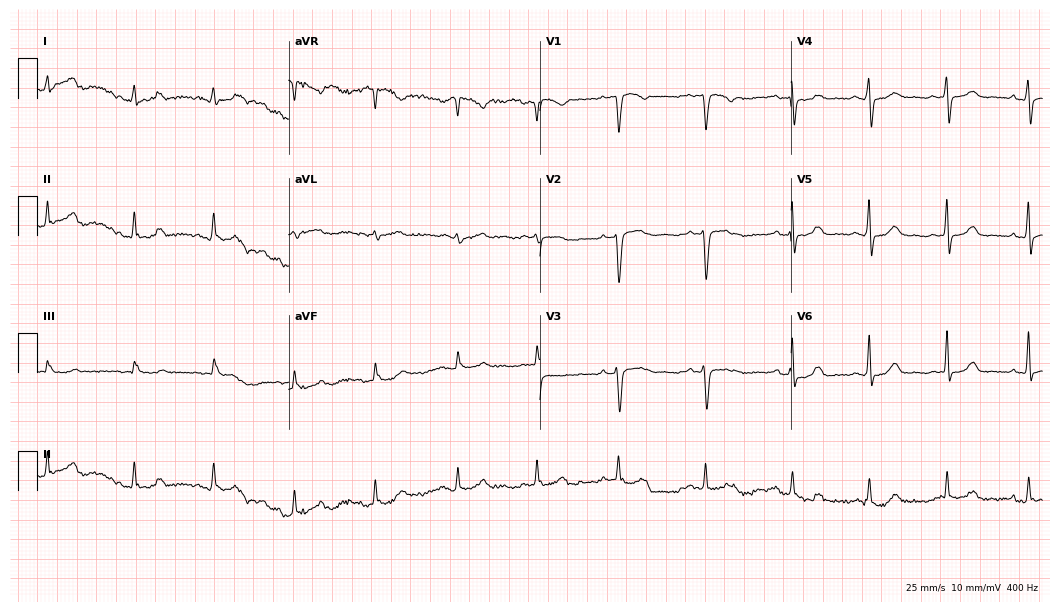
Standard 12-lead ECG recorded from a woman, 30 years old (10.2-second recording at 400 Hz). None of these six findings is recorded: first-degree AV block, right bundle branch block, left bundle branch block, sinus bradycardia, atrial fibrillation, sinus tachycardia. Other findings, if any, are not listed.